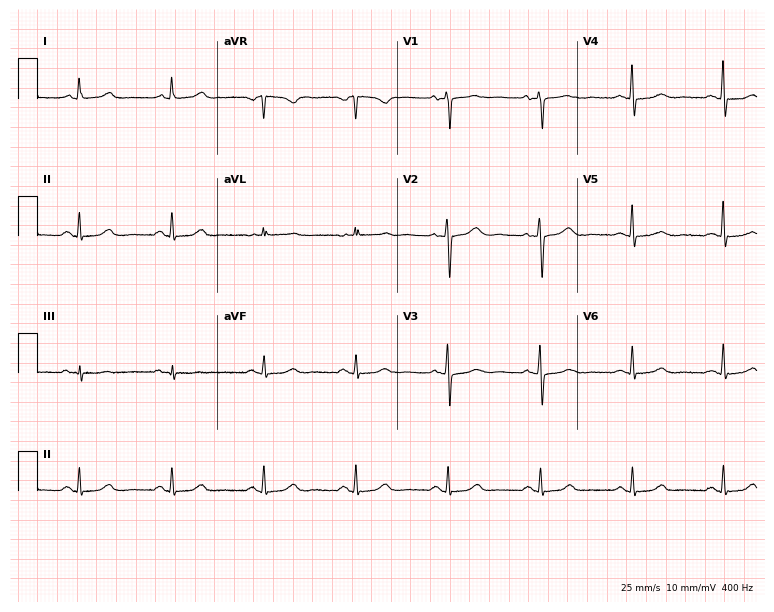
12-lead ECG from a female, 76 years old (7.3-second recording at 400 Hz). No first-degree AV block, right bundle branch block (RBBB), left bundle branch block (LBBB), sinus bradycardia, atrial fibrillation (AF) or sinus tachycardia recorded for this tracing. Only these six findings were labelled.